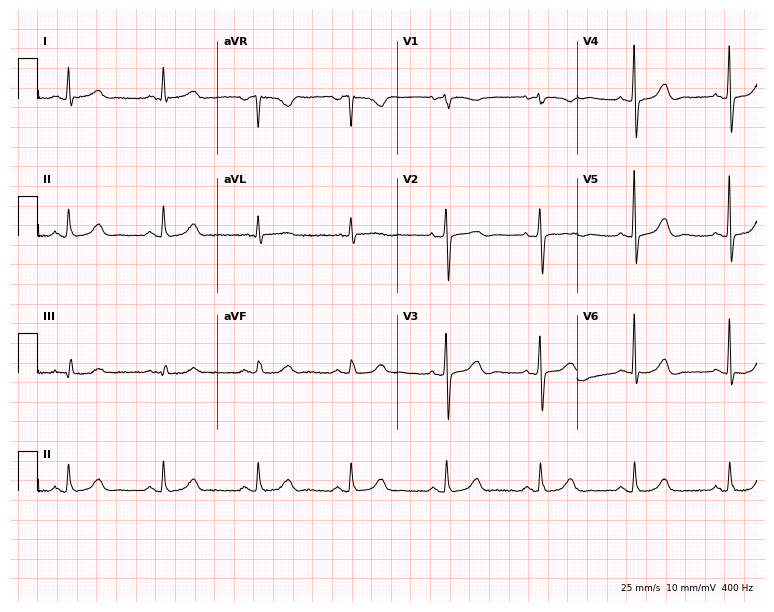
Resting 12-lead electrocardiogram (7.3-second recording at 400 Hz). Patient: an 86-year-old female. Read as a normal ECG.